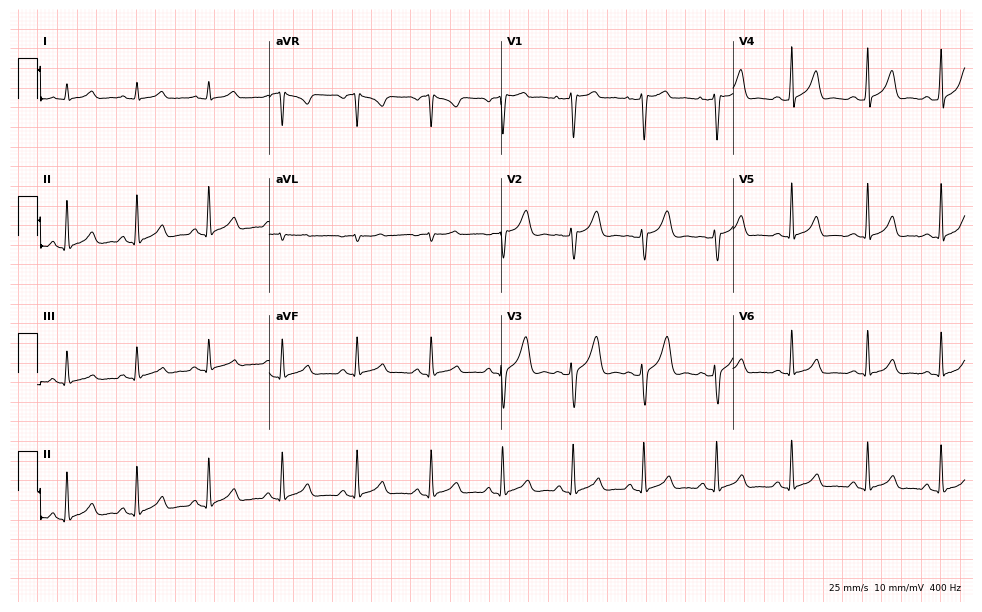
12-lead ECG (9.5-second recording at 400 Hz) from a 17-year-old female patient. Labelled as a normal ECG.